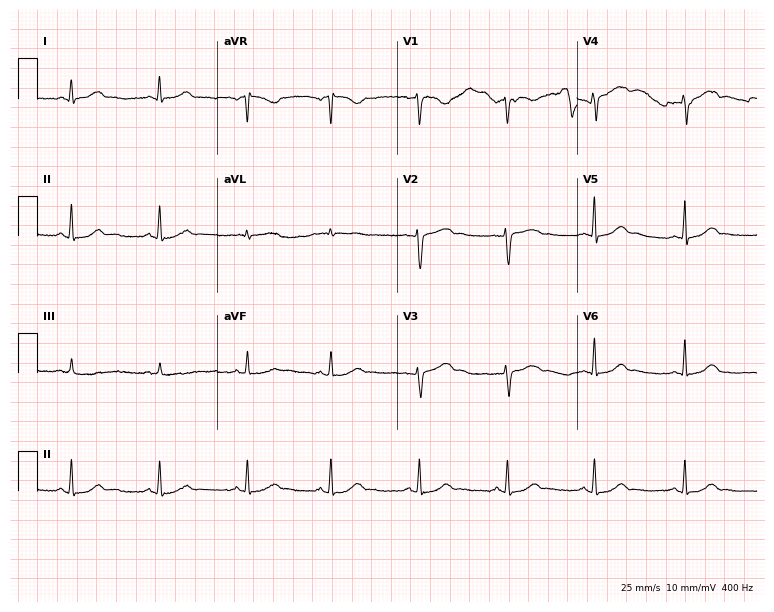
Electrocardiogram (7.3-second recording at 400 Hz), a 26-year-old female. Of the six screened findings (first-degree AV block, right bundle branch block, left bundle branch block, sinus bradycardia, atrial fibrillation, sinus tachycardia), none is recorded.